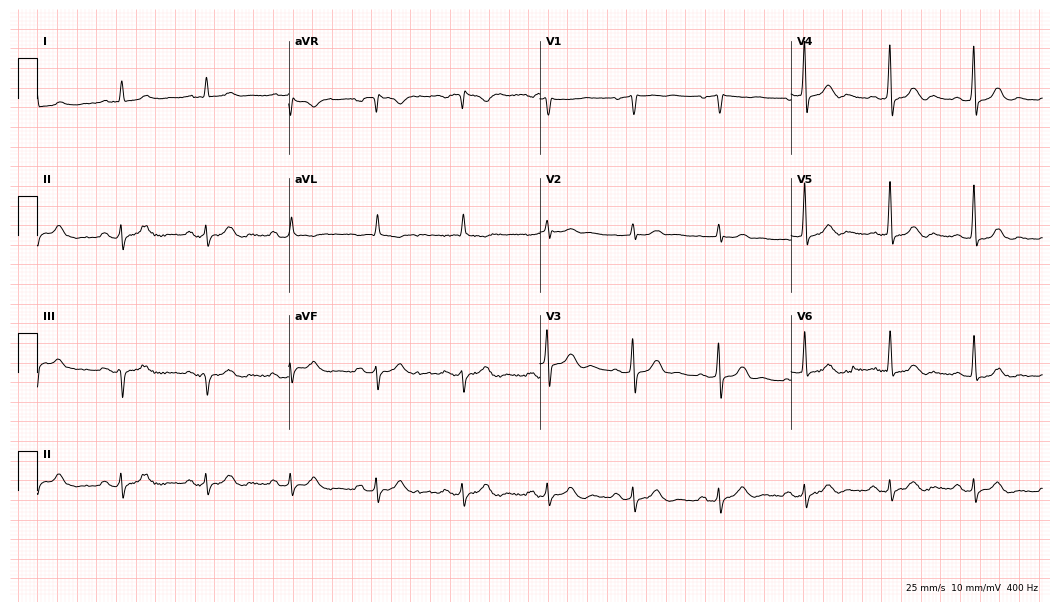
12-lead ECG from a 63-year-old man. No first-degree AV block, right bundle branch block (RBBB), left bundle branch block (LBBB), sinus bradycardia, atrial fibrillation (AF) or sinus tachycardia recorded for this tracing. Other findings, if any, are not listed.